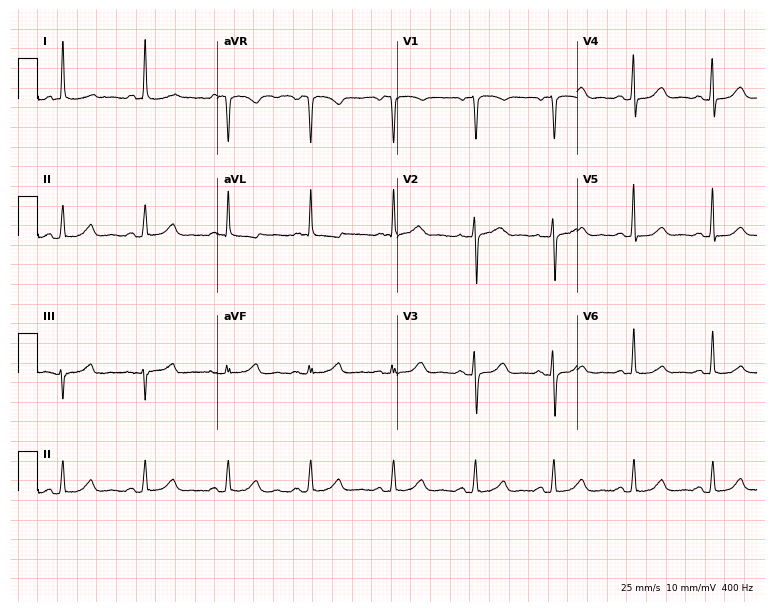
Standard 12-lead ECG recorded from a woman, 77 years old (7.3-second recording at 400 Hz). None of these six findings is recorded: first-degree AV block, right bundle branch block (RBBB), left bundle branch block (LBBB), sinus bradycardia, atrial fibrillation (AF), sinus tachycardia.